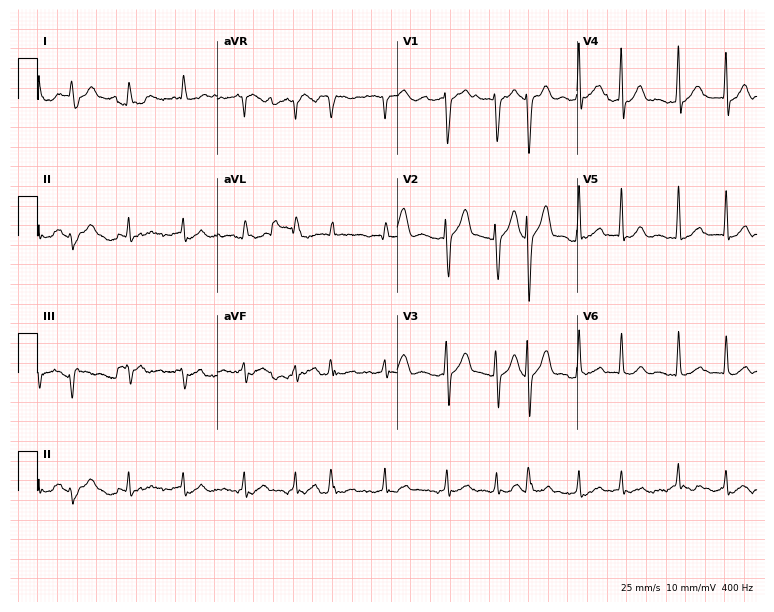
Resting 12-lead electrocardiogram. Patient: a 66-year-old man. The tracing shows atrial fibrillation.